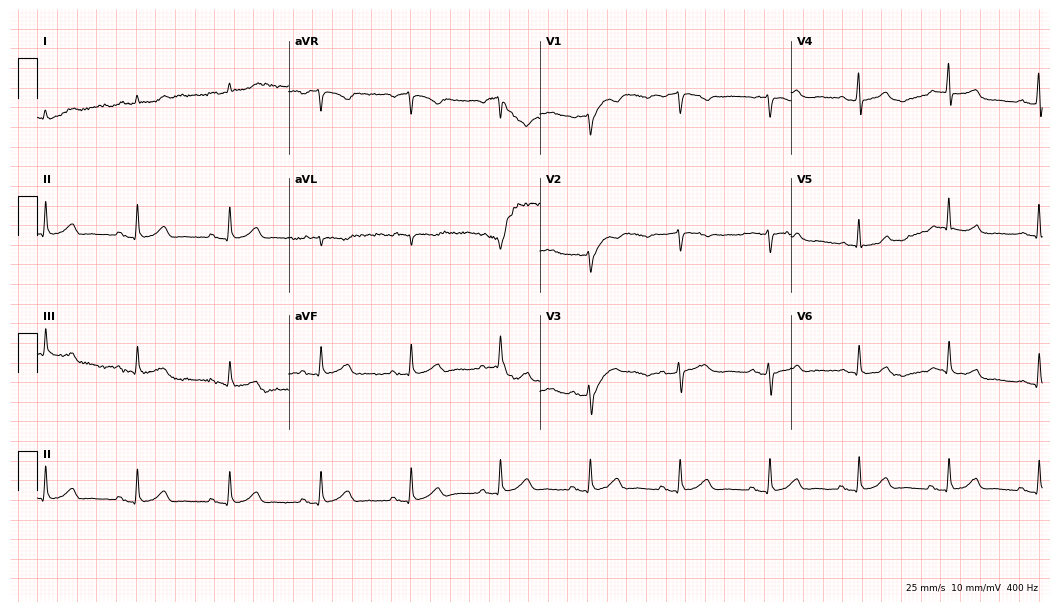
Resting 12-lead electrocardiogram. Patient: a male, 74 years old. Read as a normal ECG.